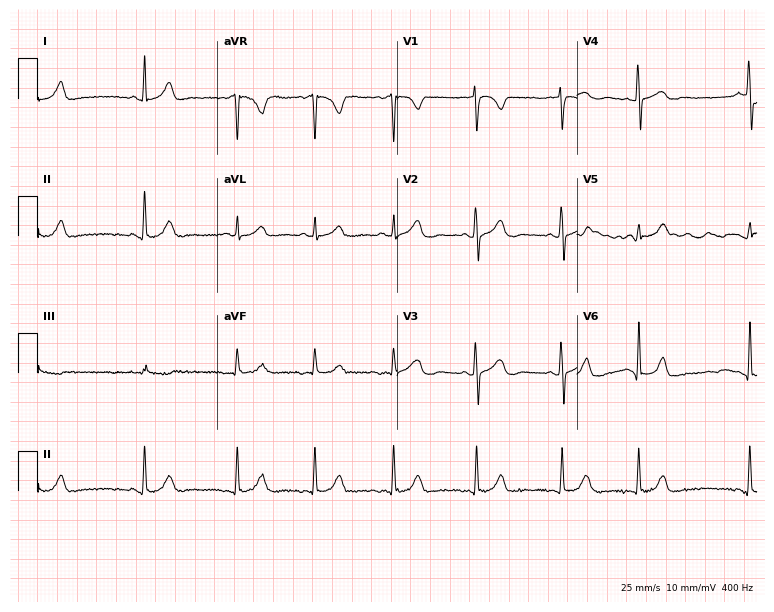
Standard 12-lead ECG recorded from a woman, 17 years old. None of these six findings is recorded: first-degree AV block, right bundle branch block, left bundle branch block, sinus bradycardia, atrial fibrillation, sinus tachycardia.